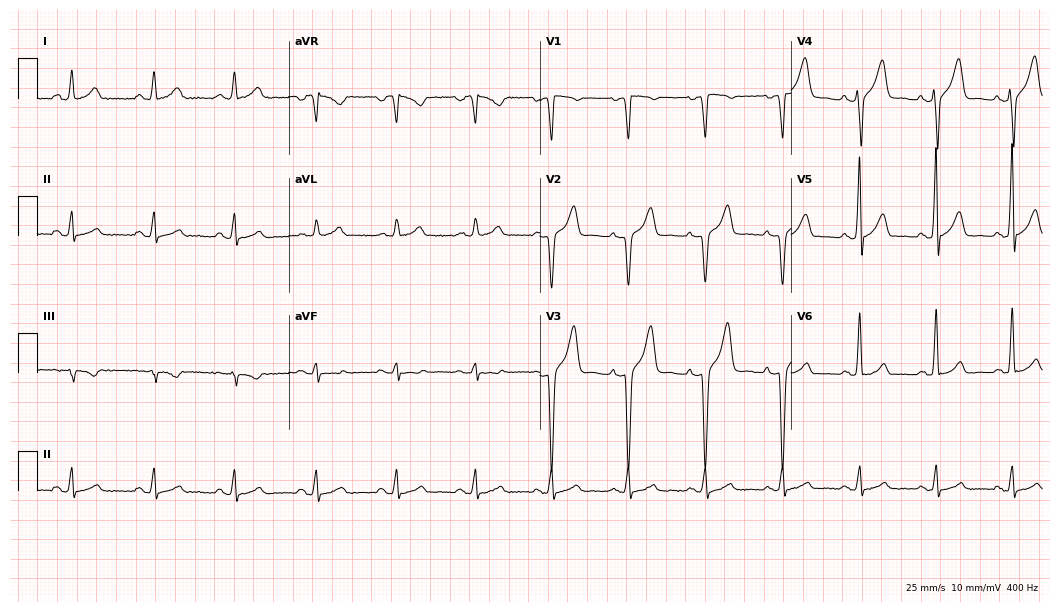
Resting 12-lead electrocardiogram (10.2-second recording at 400 Hz). Patient: a 39-year-old man. None of these six findings is recorded: first-degree AV block, right bundle branch block, left bundle branch block, sinus bradycardia, atrial fibrillation, sinus tachycardia. Only these six findings were labelled.